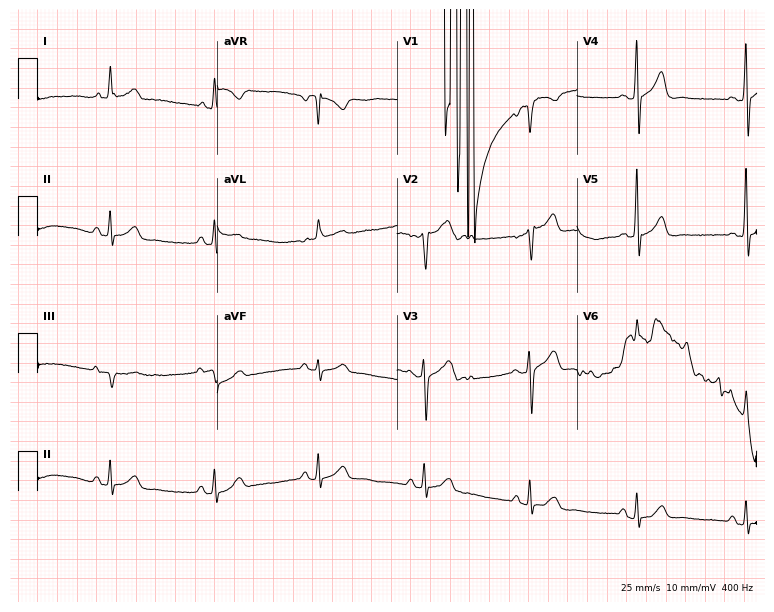
Standard 12-lead ECG recorded from a 72-year-old male patient (7.3-second recording at 400 Hz). None of these six findings is recorded: first-degree AV block, right bundle branch block, left bundle branch block, sinus bradycardia, atrial fibrillation, sinus tachycardia.